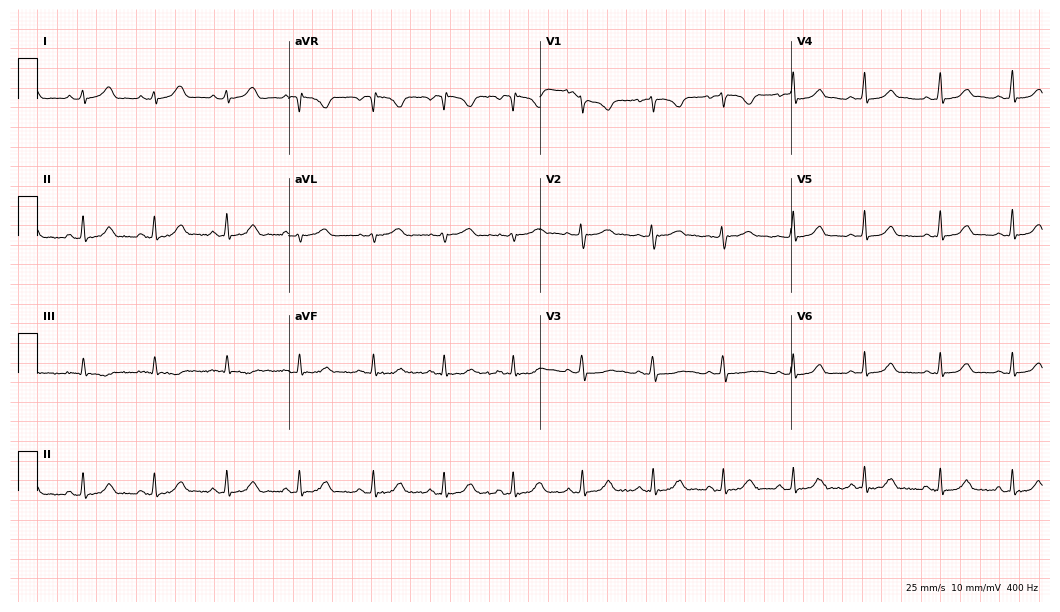
Standard 12-lead ECG recorded from a woman, 24 years old (10.2-second recording at 400 Hz). Read as a normal ECG.